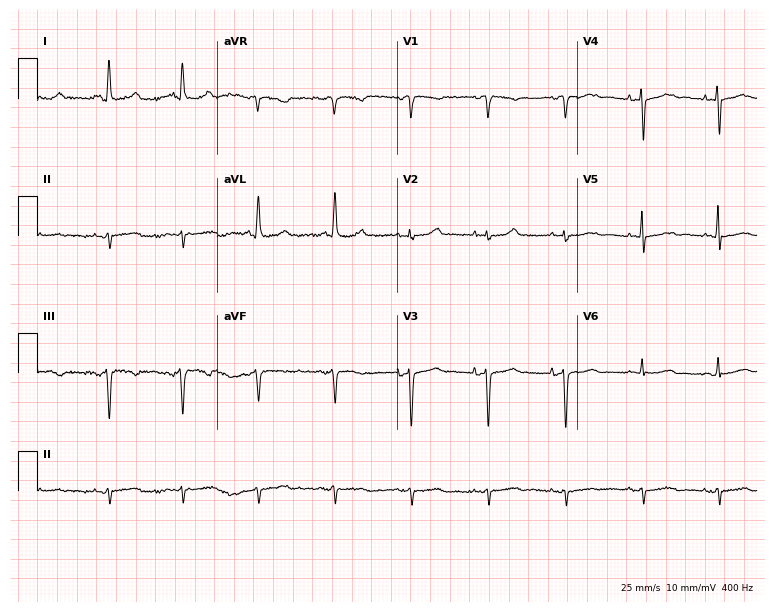
12-lead ECG from a female, 83 years old (7.3-second recording at 400 Hz). No first-degree AV block, right bundle branch block, left bundle branch block, sinus bradycardia, atrial fibrillation or sinus tachycardia recorded for this tracing.